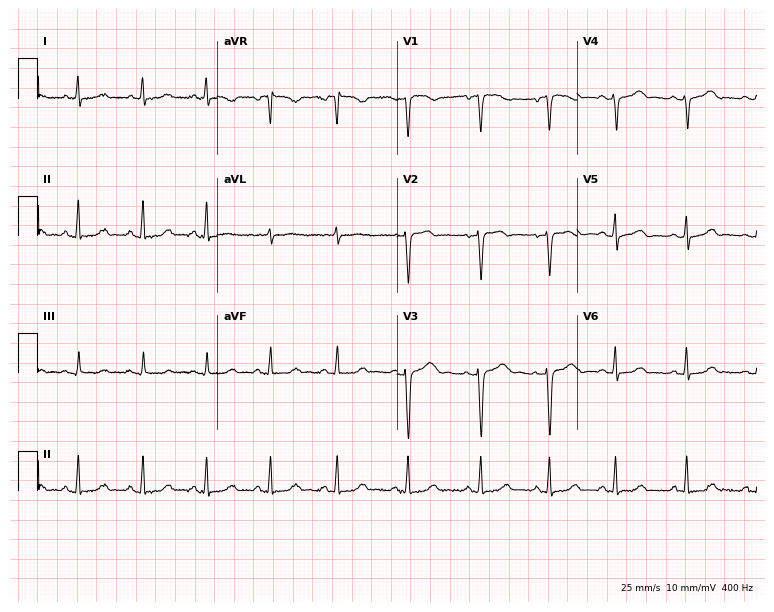
12-lead ECG from a 29-year-old female patient. No first-degree AV block, right bundle branch block (RBBB), left bundle branch block (LBBB), sinus bradycardia, atrial fibrillation (AF) or sinus tachycardia recorded for this tracing. Only these six findings were labelled.